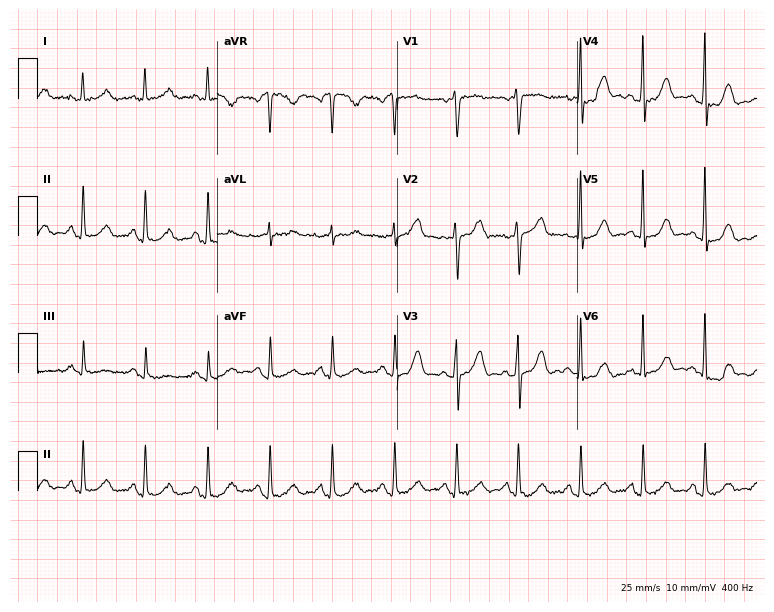
Electrocardiogram (7.3-second recording at 400 Hz), a female, 66 years old. Overall reading on record: normal ECG.